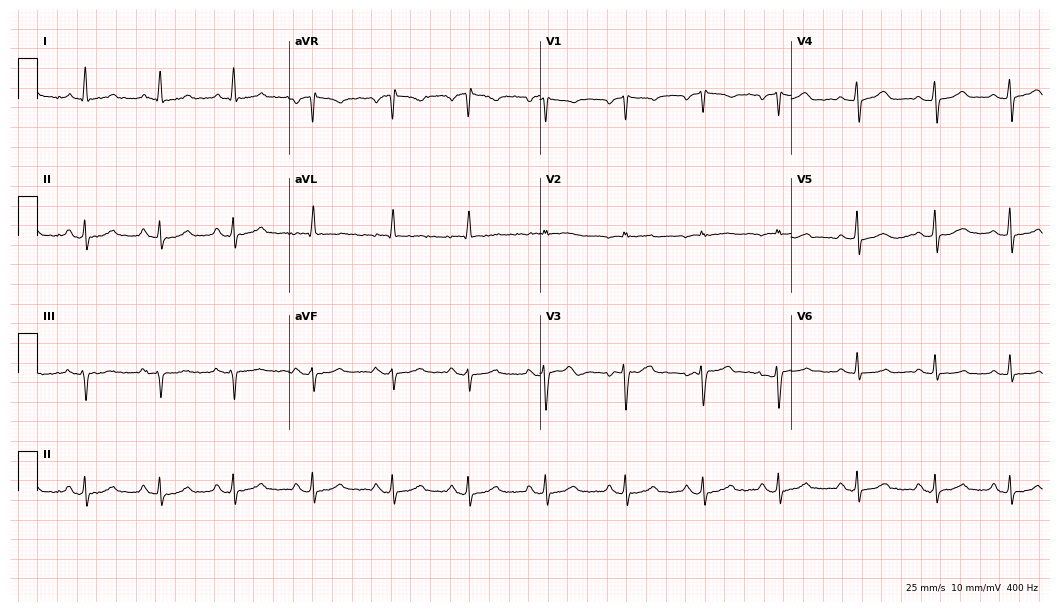
Electrocardiogram, a 54-year-old female. Overall reading on record: normal ECG.